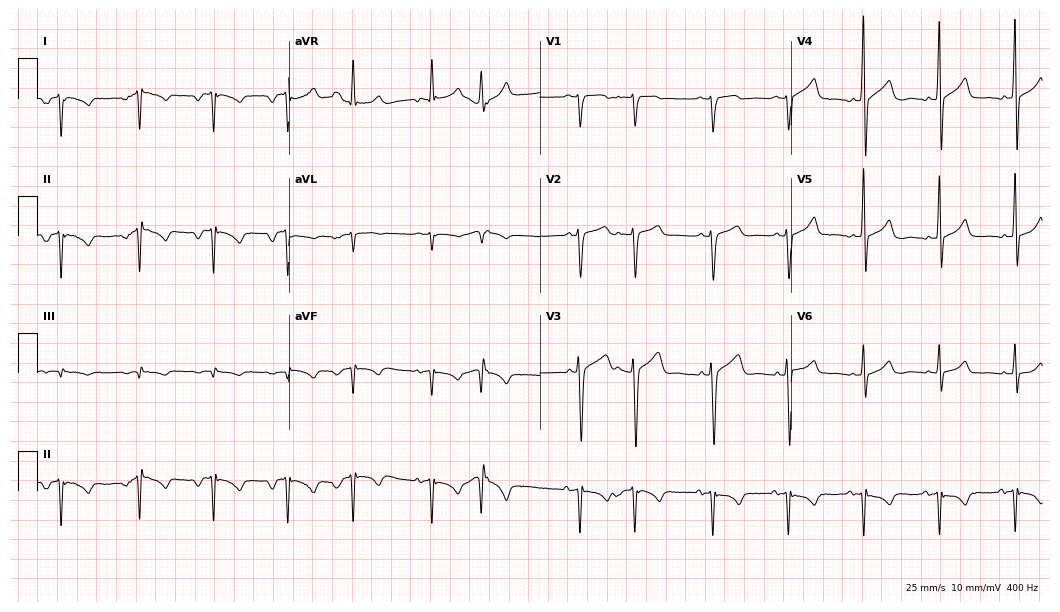
ECG — a man, 65 years old. Screened for six findings — first-degree AV block, right bundle branch block, left bundle branch block, sinus bradycardia, atrial fibrillation, sinus tachycardia — none is recorded.